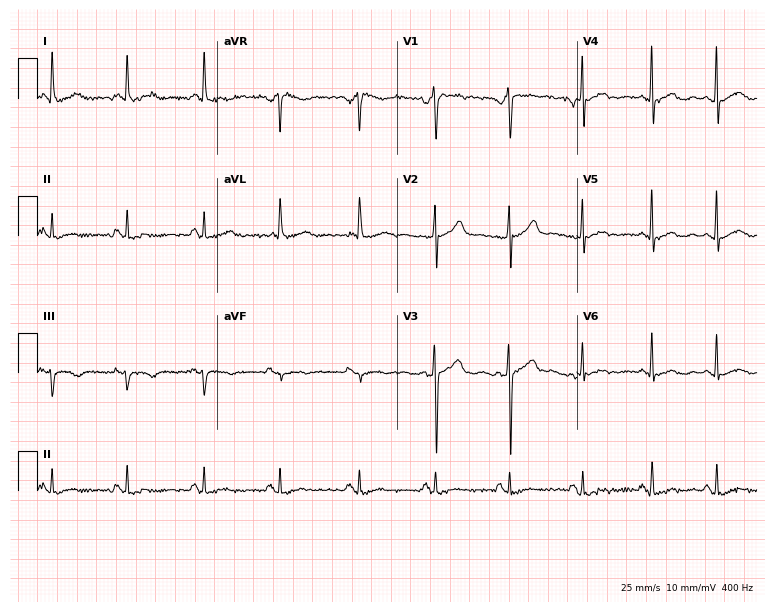
ECG (7.3-second recording at 400 Hz) — a 30-year-old female patient. Screened for six findings — first-degree AV block, right bundle branch block, left bundle branch block, sinus bradycardia, atrial fibrillation, sinus tachycardia — none is recorded. Other findings, if any, are not listed.